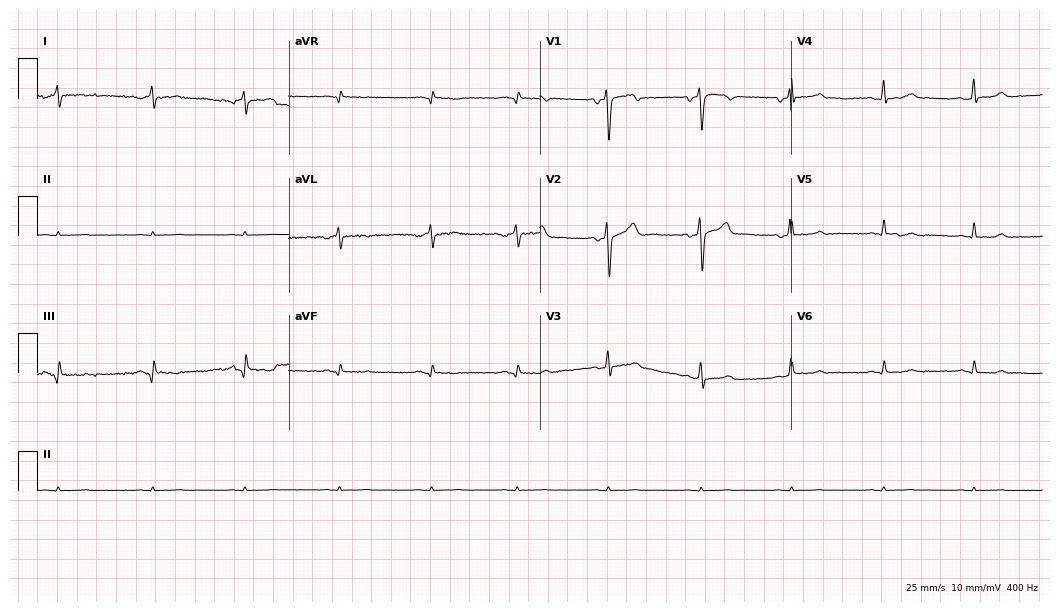
ECG — a 38-year-old female patient. Screened for six findings — first-degree AV block, right bundle branch block, left bundle branch block, sinus bradycardia, atrial fibrillation, sinus tachycardia — none is recorded. Only these six findings were labelled.